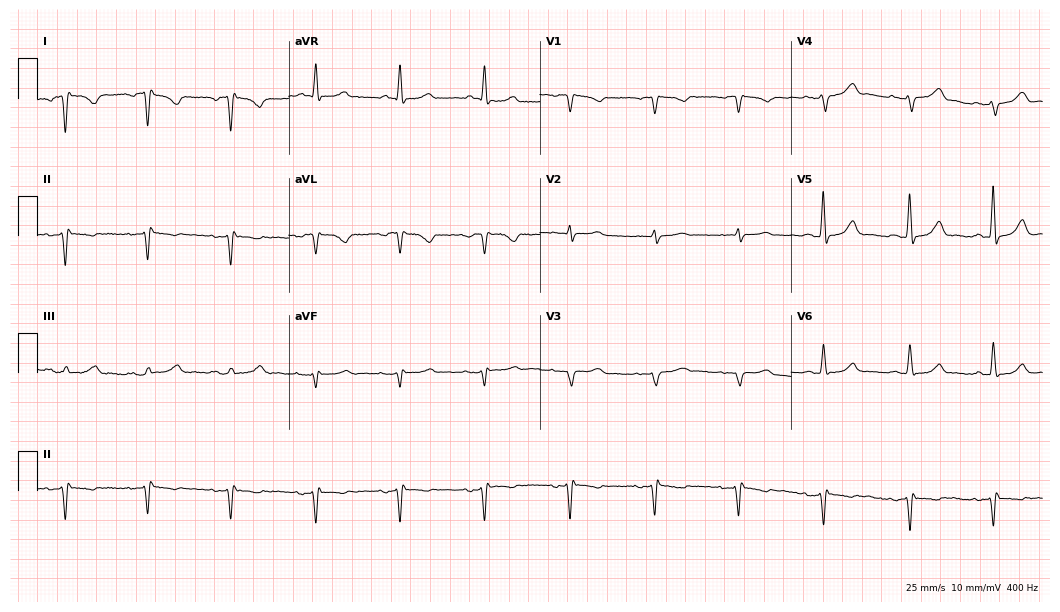
Resting 12-lead electrocardiogram (10.2-second recording at 400 Hz). Patient: a 70-year-old female. None of these six findings is recorded: first-degree AV block, right bundle branch block (RBBB), left bundle branch block (LBBB), sinus bradycardia, atrial fibrillation (AF), sinus tachycardia. Only these six findings were labelled.